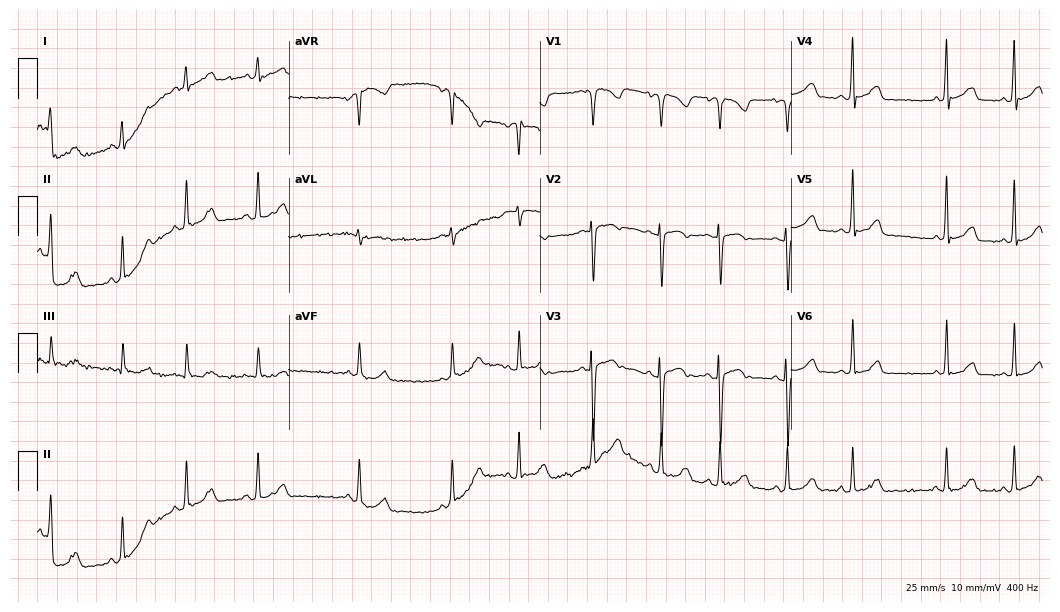
ECG — a 29-year-old female patient. Labelled as a normal ECG.